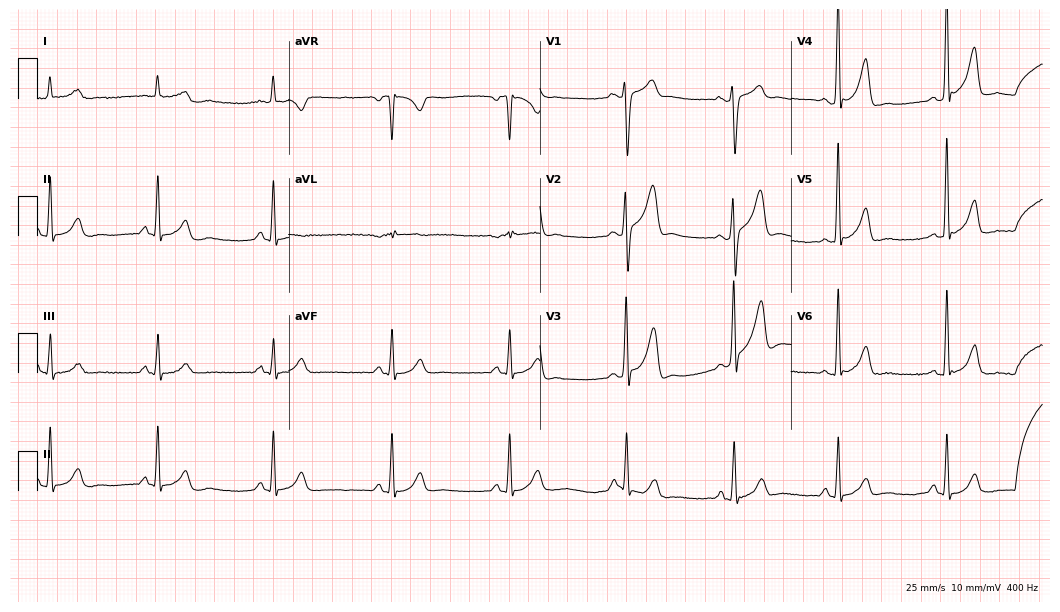
12-lead ECG from a 50-year-old man. Recorded interpretation: within normal limits.